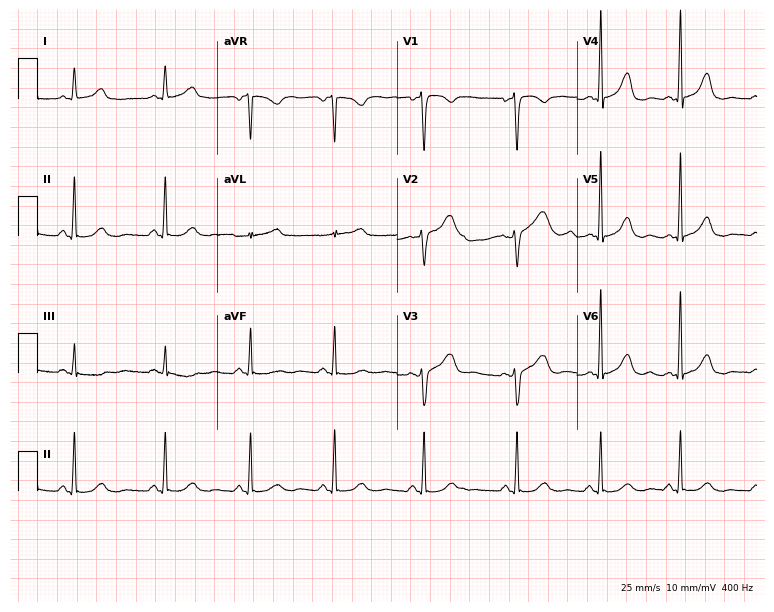
Resting 12-lead electrocardiogram. Patient: a female, 48 years old. None of these six findings is recorded: first-degree AV block, right bundle branch block, left bundle branch block, sinus bradycardia, atrial fibrillation, sinus tachycardia.